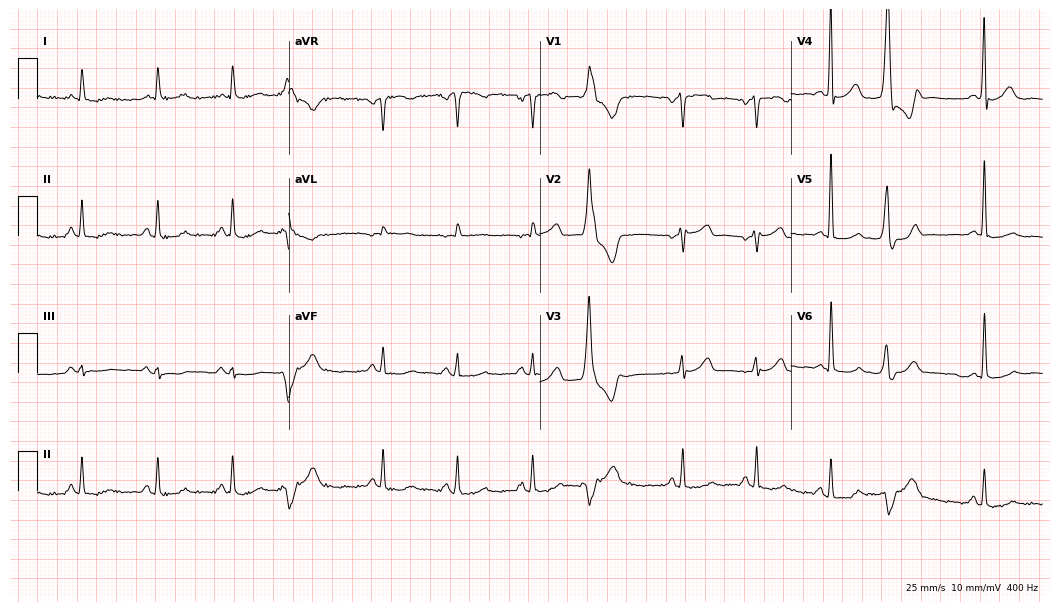
12-lead ECG from a man, 84 years old (10.2-second recording at 400 Hz). Recorded interpretation: within normal limits.